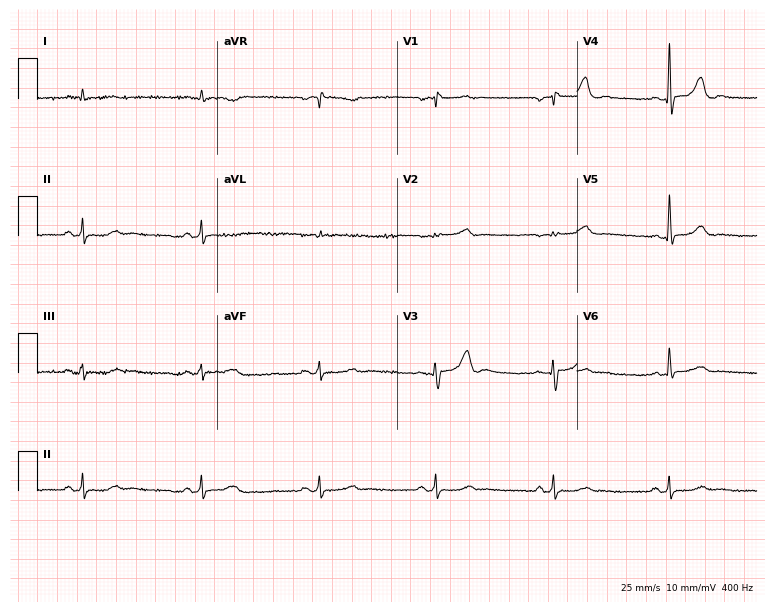
Resting 12-lead electrocardiogram. Patient: an 85-year-old male. None of these six findings is recorded: first-degree AV block, right bundle branch block, left bundle branch block, sinus bradycardia, atrial fibrillation, sinus tachycardia. Only these six findings were labelled.